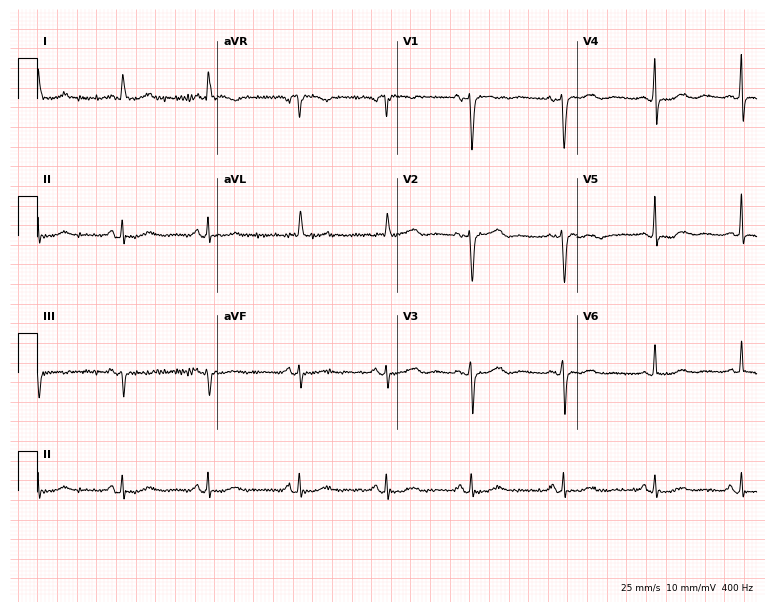
ECG (7.3-second recording at 400 Hz) — a woman, 69 years old. Screened for six findings — first-degree AV block, right bundle branch block (RBBB), left bundle branch block (LBBB), sinus bradycardia, atrial fibrillation (AF), sinus tachycardia — none is recorded. Only these six findings were labelled.